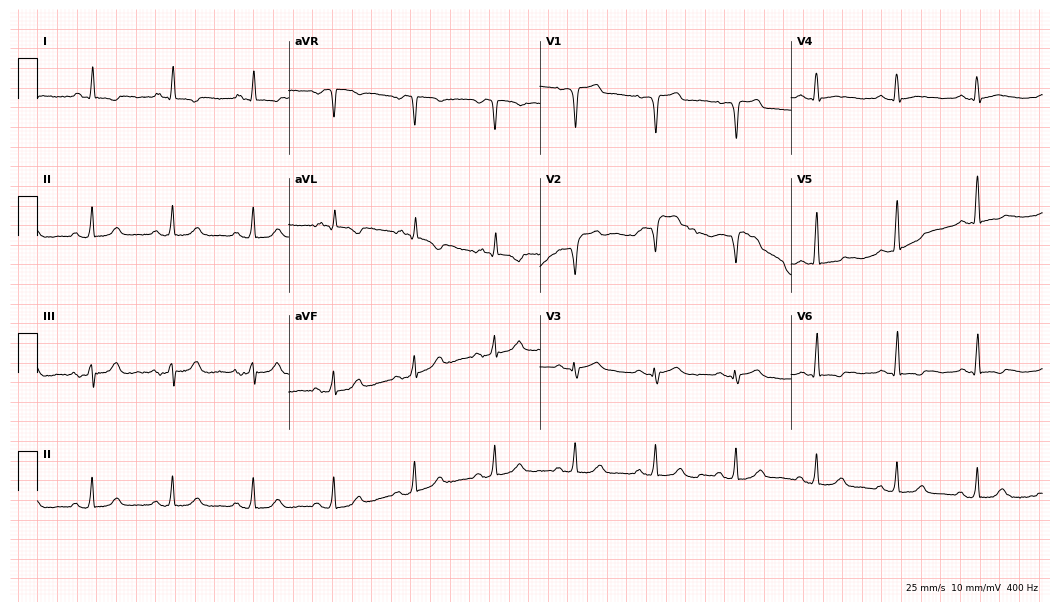
12-lead ECG from a 65-year-old male patient. Screened for six findings — first-degree AV block, right bundle branch block, left bundle branch block, sinus bradycardia, atrial fibrillation, sinus tachycardia — none is recorded. Only these six findings were labelled.